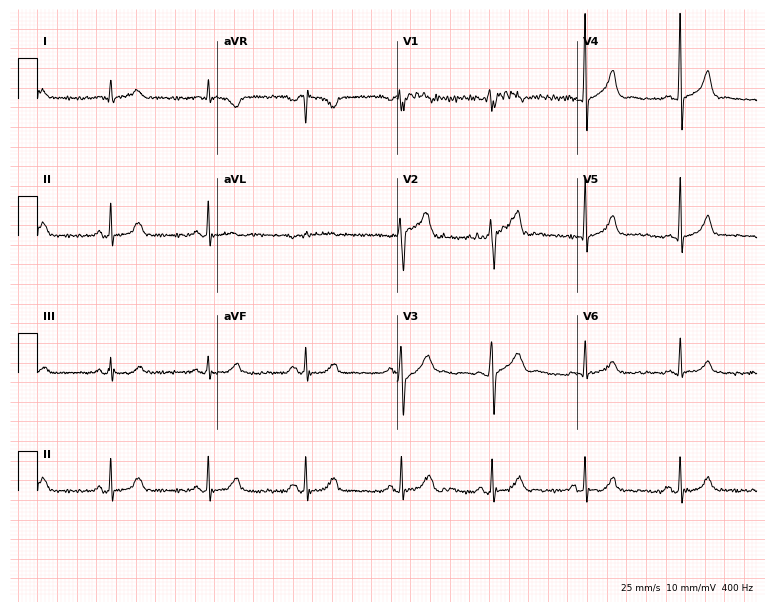
Standard 12-lead ECG recorded from a 43-year-old male. Read as a normal ECG.